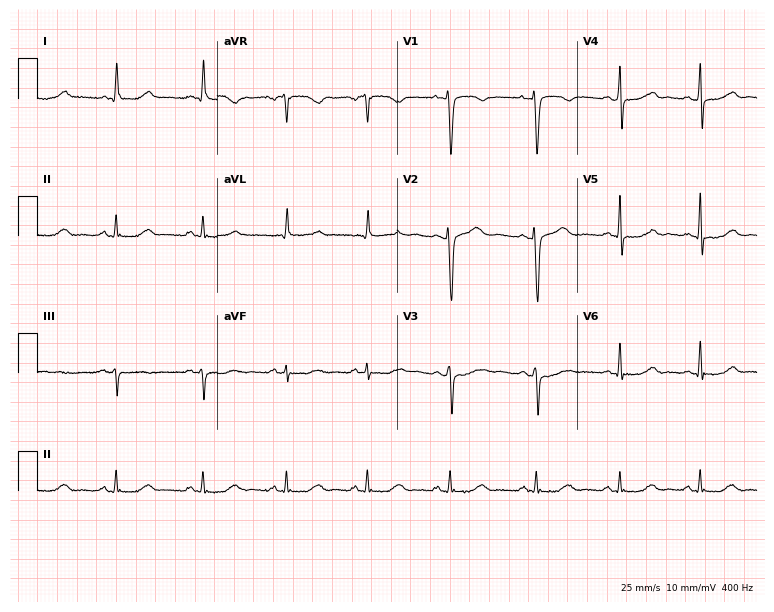
ECG — a 43-year-old female patient. Screened for six findings — first-degree AV block, right bundle branch block, left bundle branch block, sinus bradycardia, atrial fibrillation, sinus tachycardia — none is recorded.